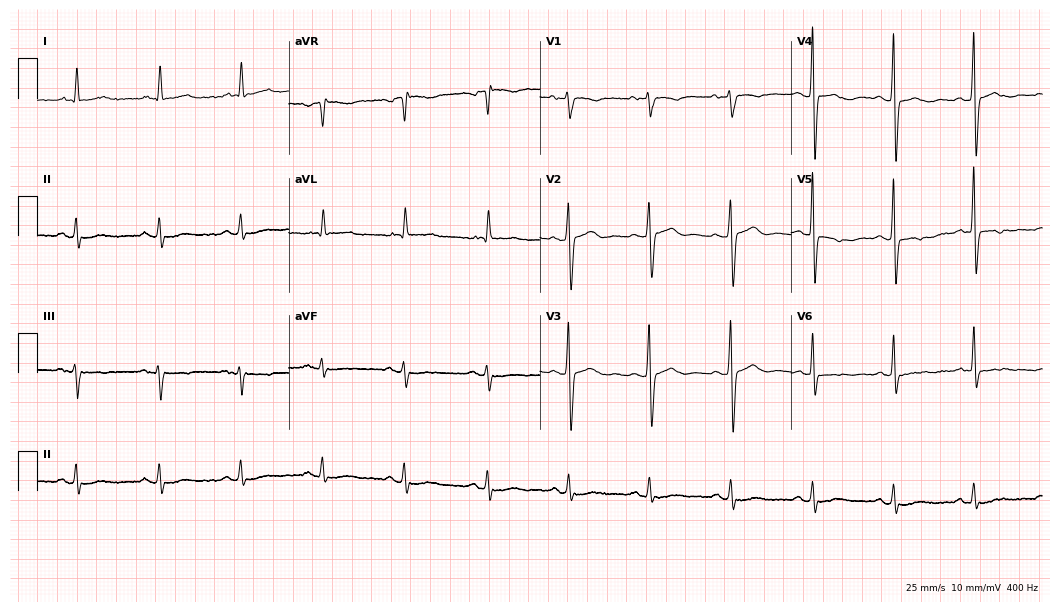
12-lead ECG from a man, 81 years old (10.2-second recording at 400 Hz). No first-degree AV block, right bundle branch block (RBBB), left bundle branch block (LBBB), sinus bradycardia, atrial fibrillation (AF) or sinus tachycardia recorded for this tracing. Only these six findings were labelled.